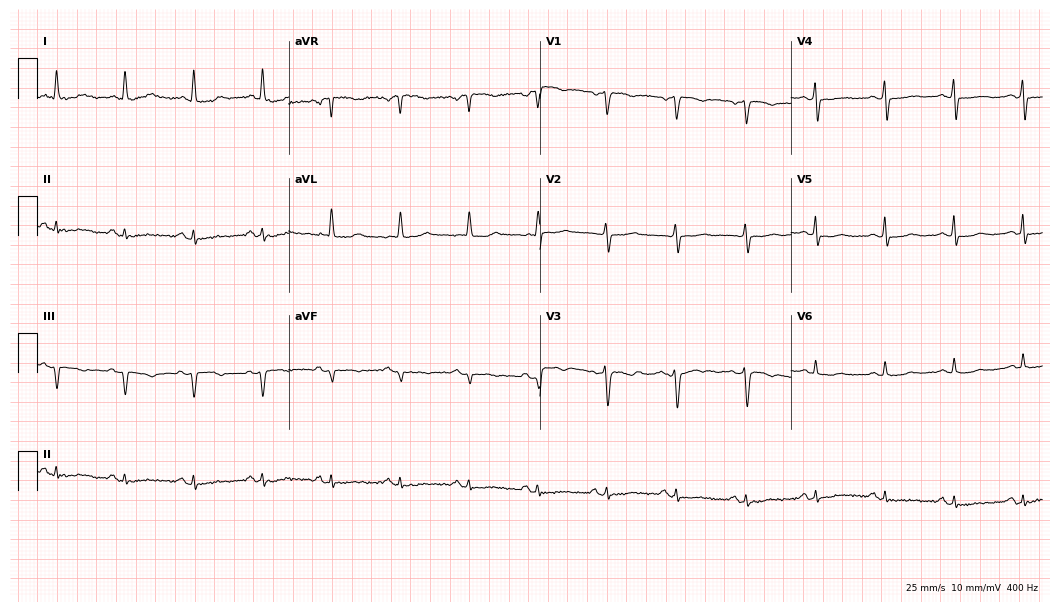
12-lead ECG (10.2-second recording at 400 Hz) from a 76-year-old woman. Screened for six findings — first-degree AV block, right bundle branch block, left bundle branch block, sinus bradycardia, atrial fibrillation, sinus tachycardia — none is recorded. Findings outside these six are not listed.